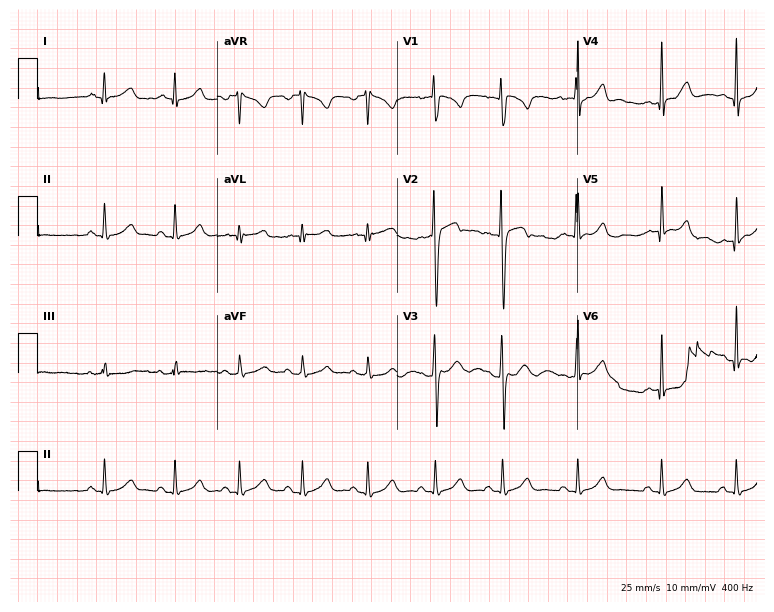
Electrocardiogram (7.3-second recording at 400 Hz), a female patient, 19 years old. Overall reading on record: normal ECG.